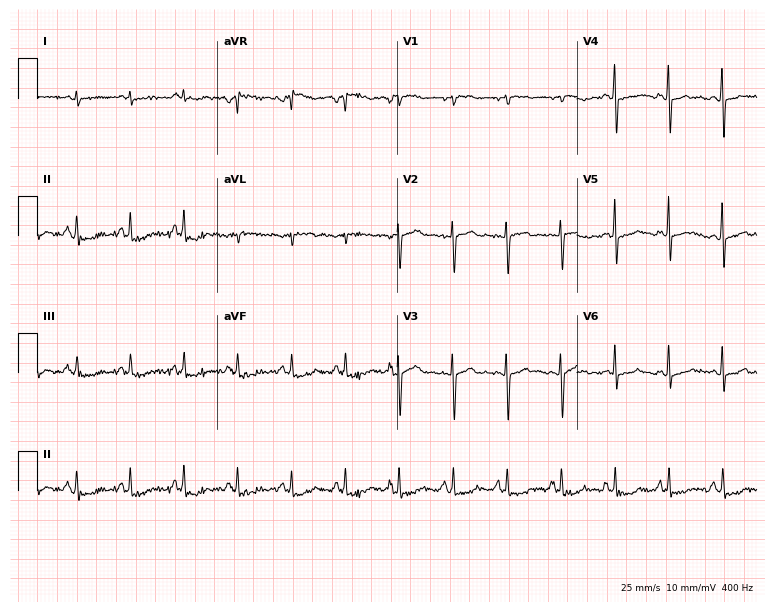
Standard 12-lead ECG recorded from a 64-year-old woman (7.3-second recording at 400 Hz). The tracing shows sinus tachycardia (a sinus rate of 100 beats per minute or more).